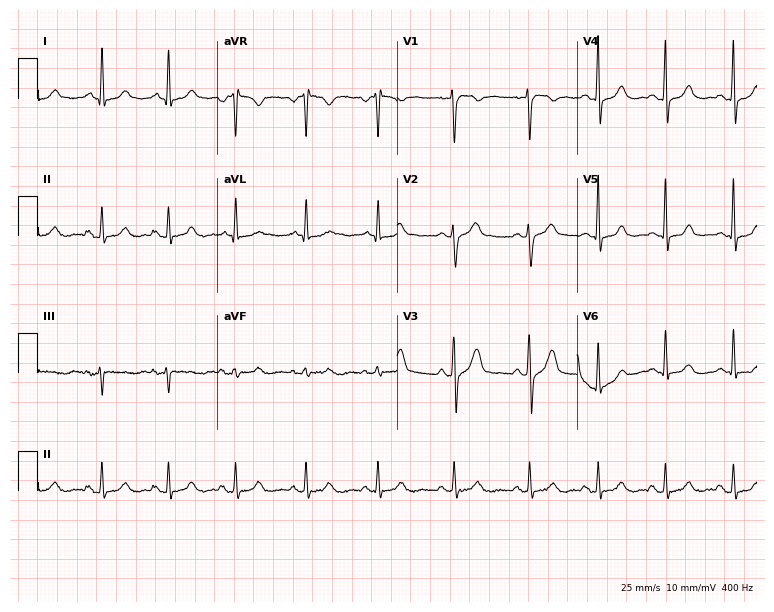
Standard 12-lead ECG recorded from a 50-year-old man (7.3-second recording at 400 Hz). None of these six findings is recorded: first-degree AV block, right bundle branch block, left bundle branch block, sinus bradycardia, atrial fibrillation, sinus tachycardia.